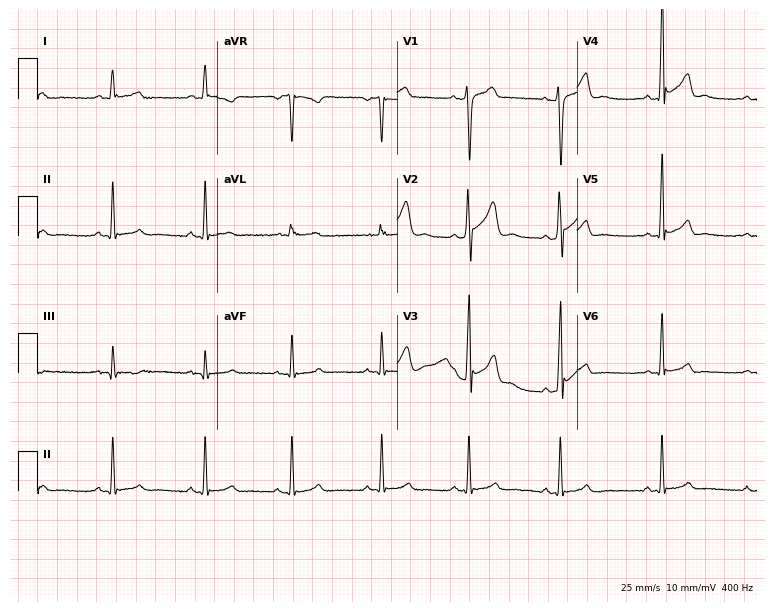
12-lead ECG (7.3-second recording at 400 Hz) from a male patient, 28 years old. Screened for six findings — first-degree AV block, right bundle branch block (RBBB), left bundle branch block (LBBB), sinus bradycardia, atrial fibrillation (AF), sinus tachycardia — none is recorded. Other findings, if any, are not listed.